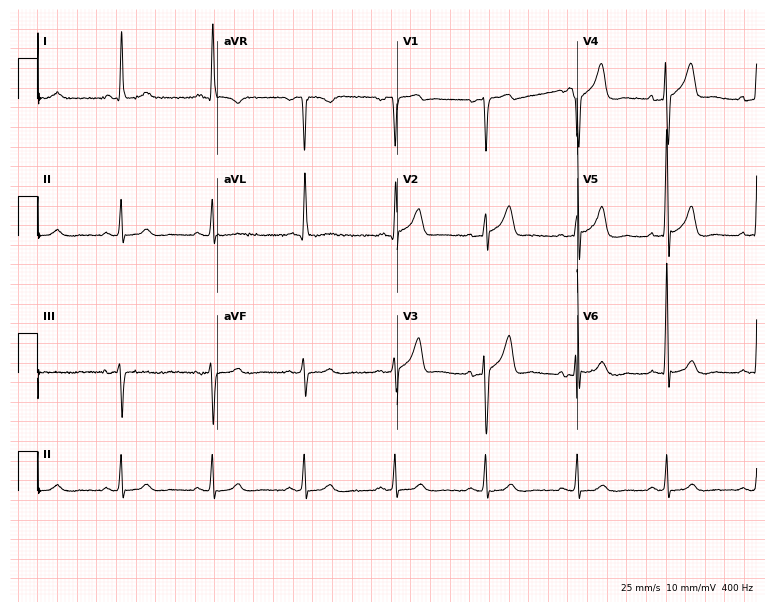
Standard 12-lead ECG recorded from a 78-year-old male patient. None of these six findings is recorded: first-degree AV block, right bundle branch block, left bundle branch block, sinus bradycardia, atrial fibrillation, sinus tachycardia. Findings outside these six are not listed.